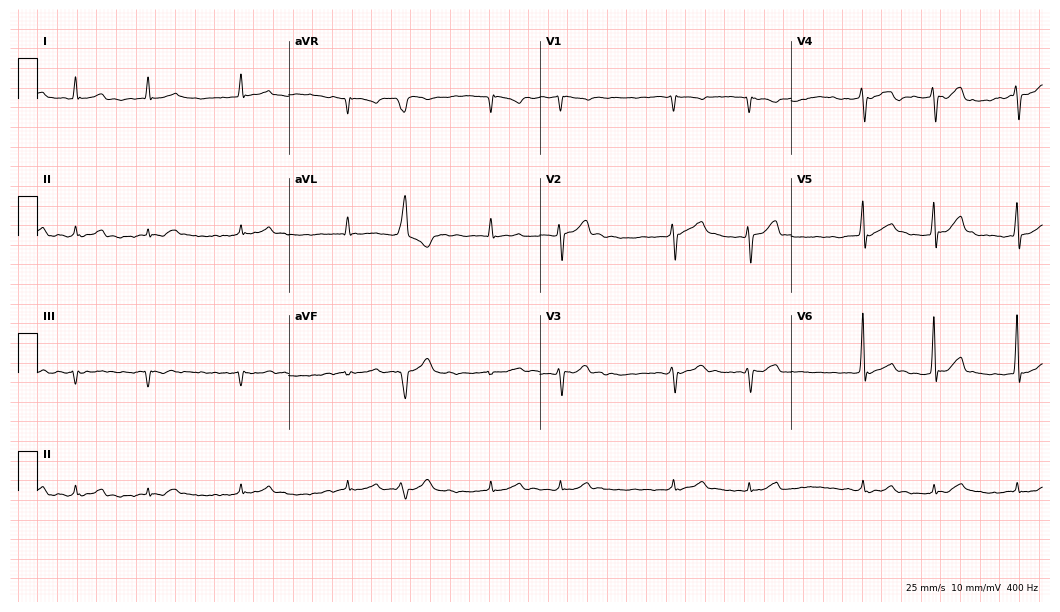
Standard 12-lead ECG recorded from a 78-year-old man. The tracing shows atrial fibrillation.